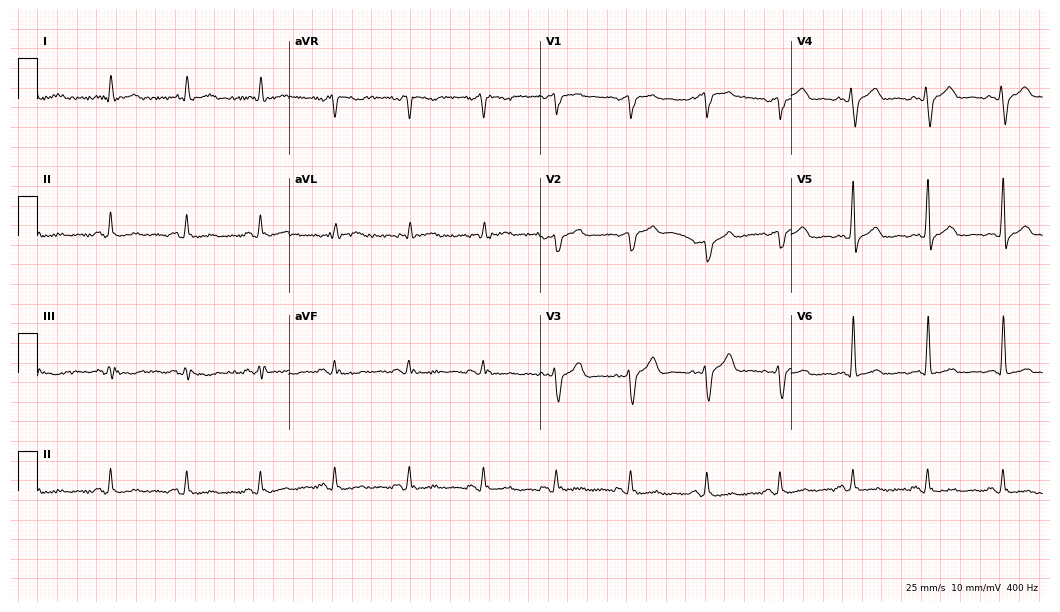
Resting 12-lead electrocardiogram (10.2-second recording at 400 Hz). Patient: a male, 53 years old. None of these six findings is recorded: first-degree AV block, right bundle branch block (RBBB), left bundle branch block (LBBB), sinus bradycardia, atrial fibrillation (AF), sinus tachycardia. Findings outside these six are not listed.